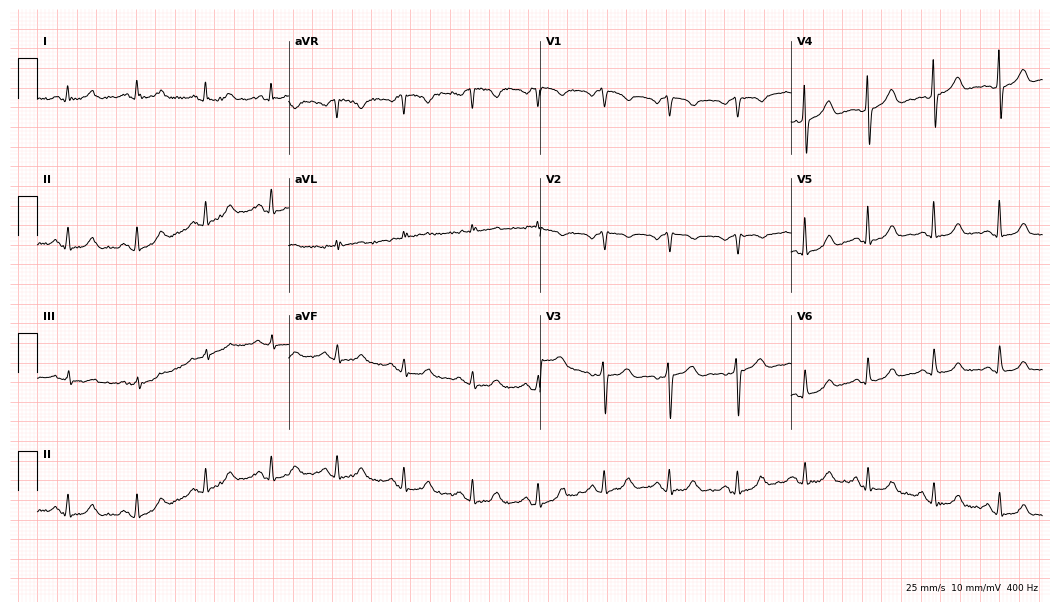
Electrocardiogram (10.2-second recording at 400 Hz), a 73-year-old female patient. Overall reading on record: normal ECG.